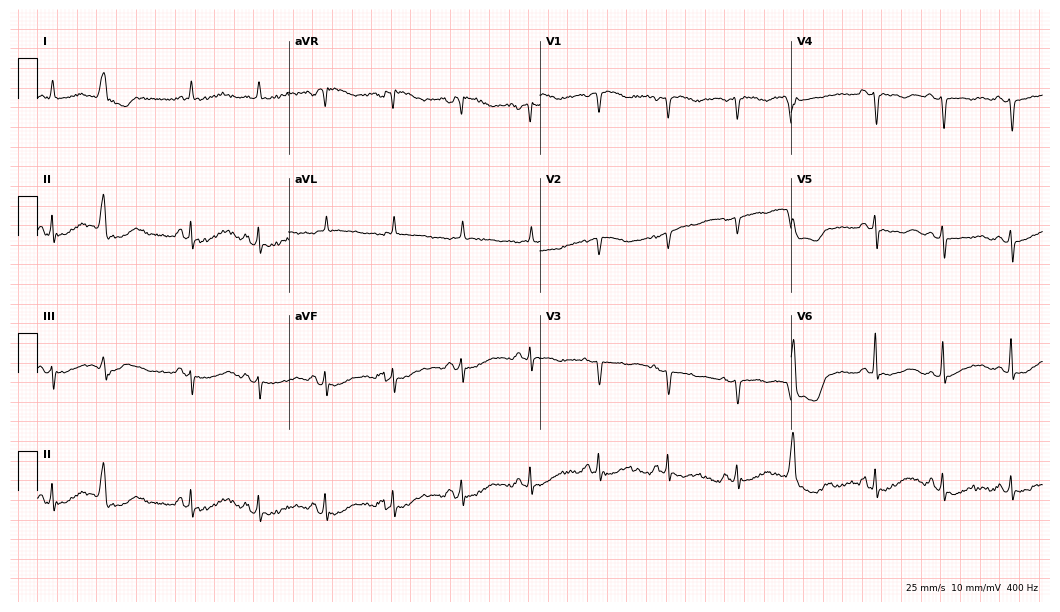
Standard 12-lead ECG recorded from an 83-year-old woman. Read as a normal ECG.